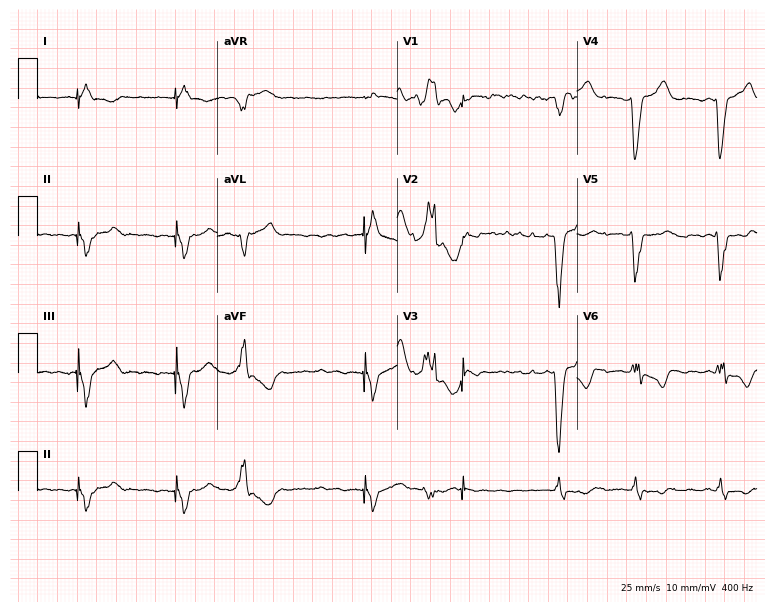
Electrocardiogram (7.3-second recording at 400 Hz), a man, 84 years old. Of the six screened findings (first-degree AV block, right bundle branch block, left bundle branch block, sinus bradycardia, atrial fibrillation, sinus tachycardia), none is recorded. Findings outside these six are not listed.